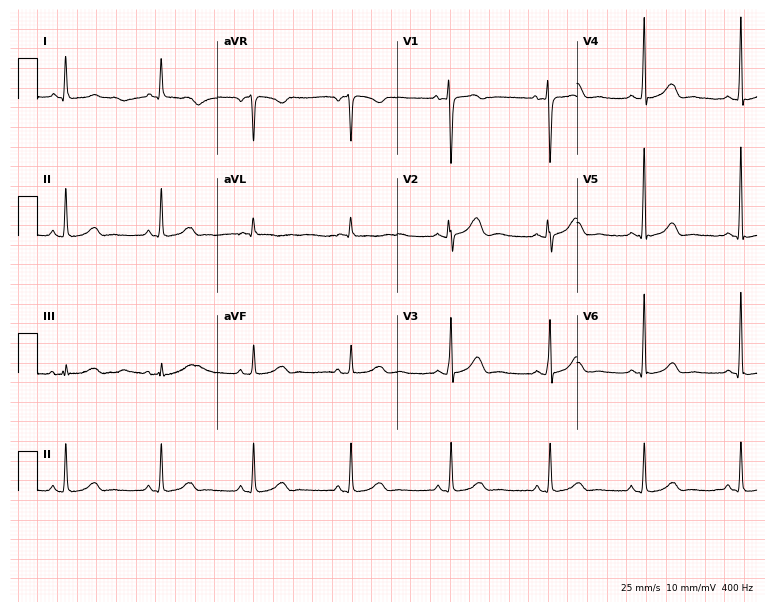
Standard 12-lead ECG recorded from a 36-year-old female. Read as a normal ECG.